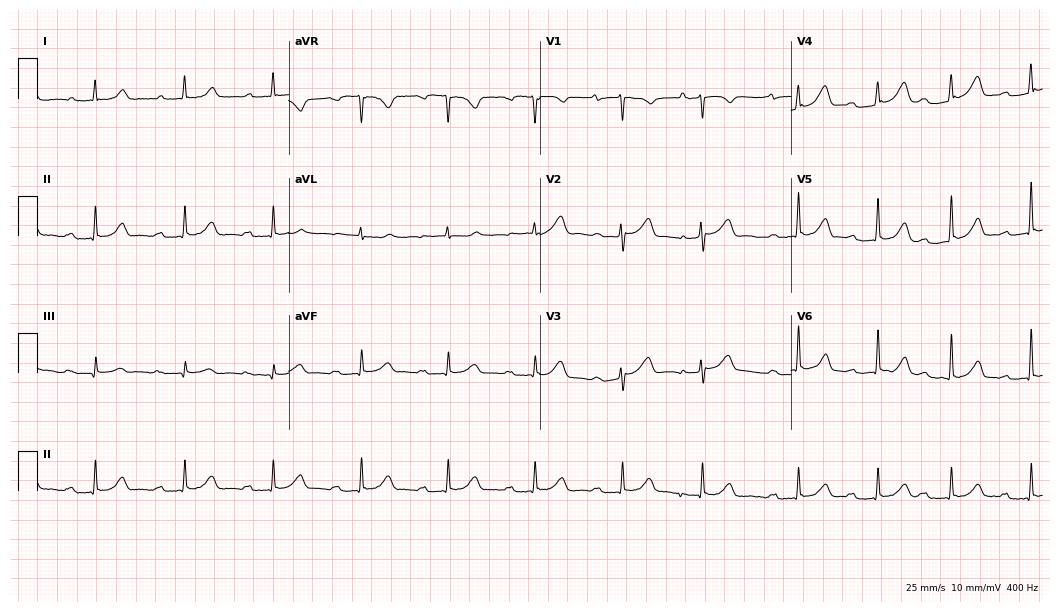
Electrocardiogram, a 71-year-old female. Interpretation includes first-degree AV block.